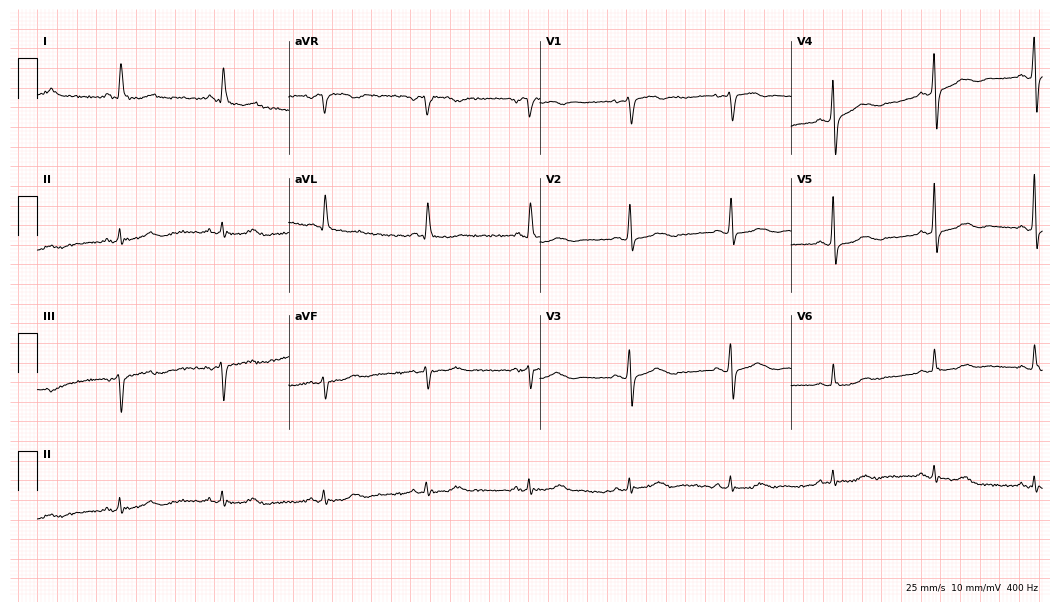
ECG (10.2-second recording at 400 Hz) — a 74-year-old female patient. Labelled as a normal ECG.